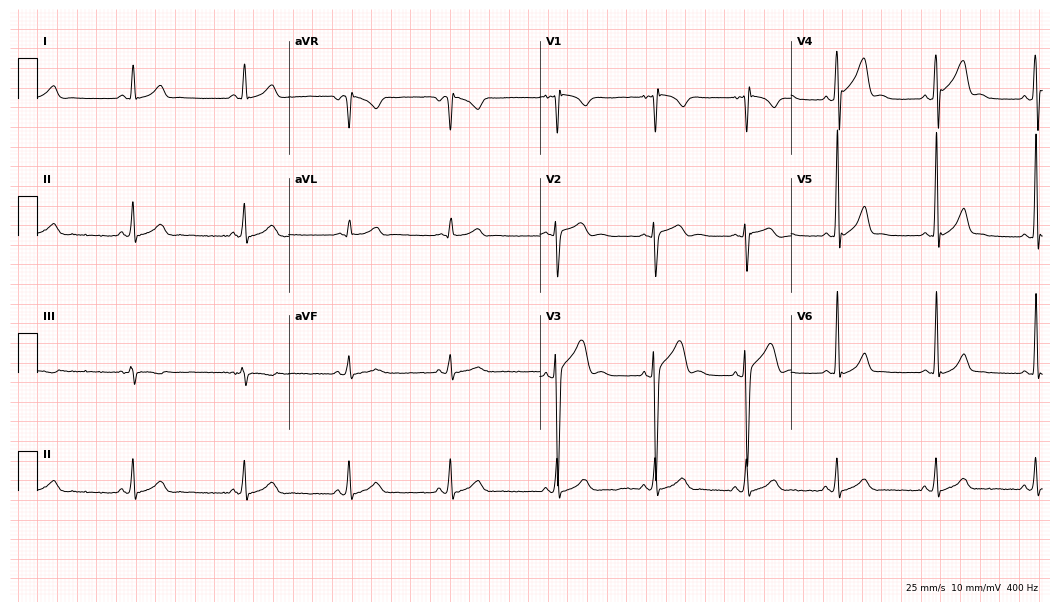
ECG — a 19-year-old male patient. Labelled as a normal ECG.